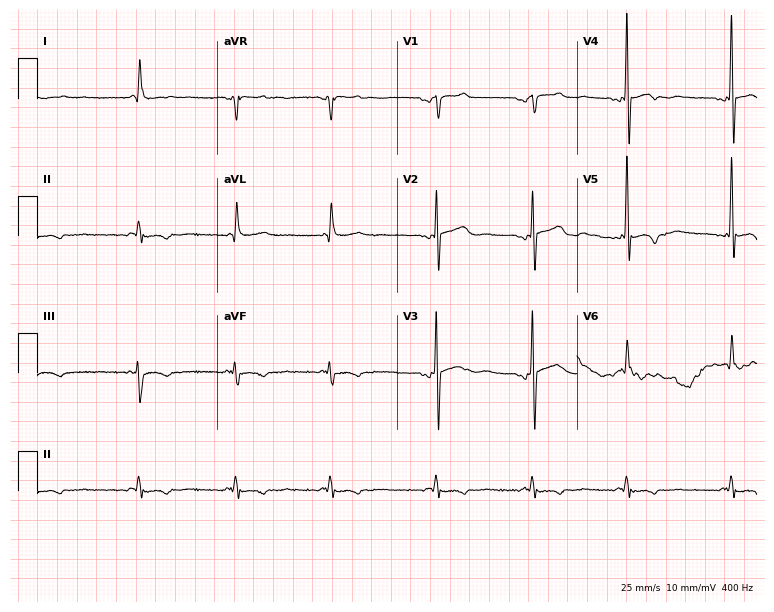
Electrocardiogram, a 69-year-old male. Of the six screened findings (first-degree AV block, right bundle branch block, left bundle branch block, sinus bradycardia, atrial fibrillation, sinus tachycardia), none is recorded.